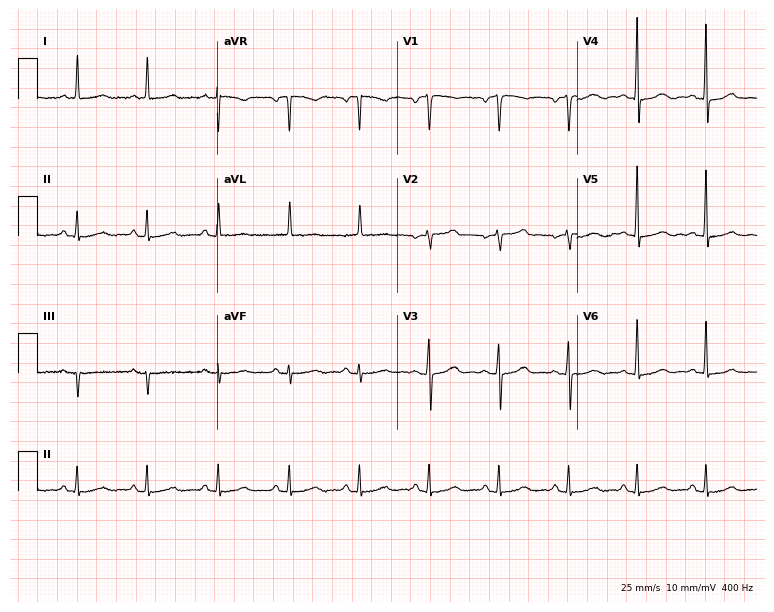
Resting 12-lead electrocardiogram. Patient: a female, 63 years old. None of these six findings is recorded: first-degree AV block, right bundle branch block, left bundle branch block, sinus bradycardia, atrial fibrillation, sinus tachycardia. Only these six findings were labelled.